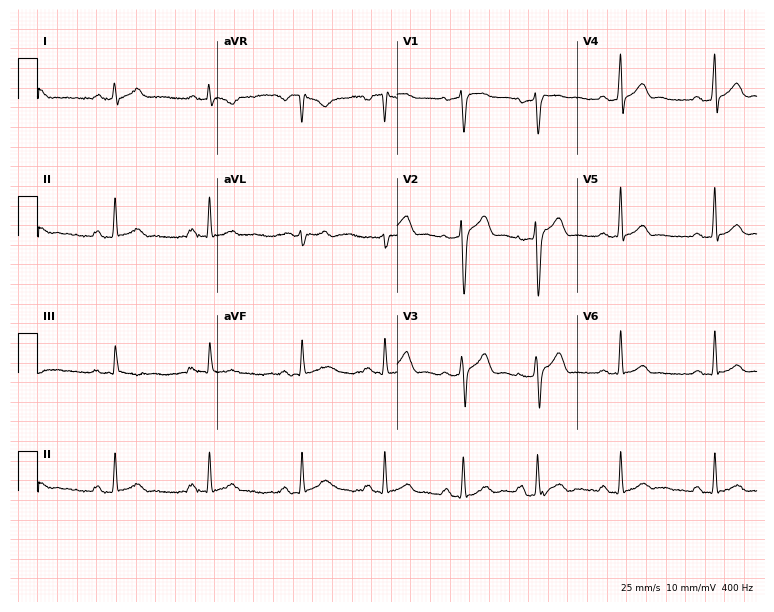
Electrocardiogram (7.3-second recording at 400 Hz), a 31-year-old man. Overall reading on record: normal ECG.